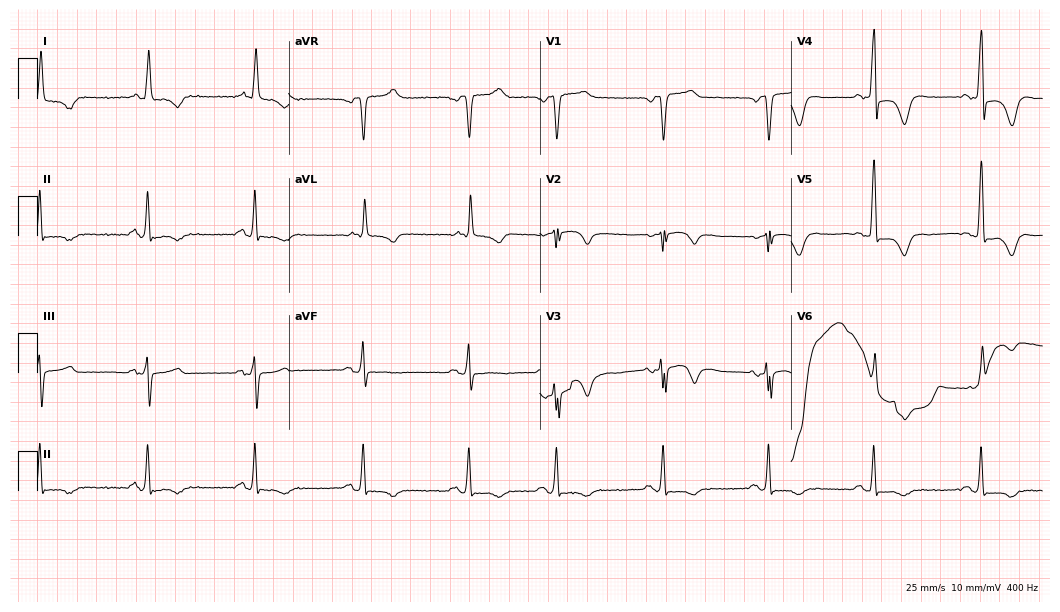
Standard 12-lead ECG recorded from a male, 73 years old. None of these six findings is recorded: first-degree AV block, right bundle branch block, left bundle branch block, sinus bradycardia, atrial fibrillation, sinus tachycardia. Other findings, if any, are not listed.